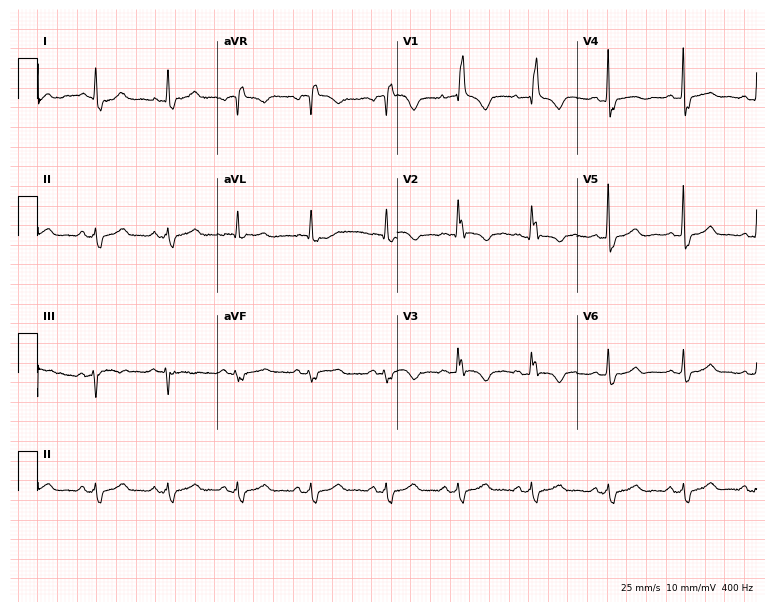
12-lead ECG from a woman, 85 years old. Findings include right bundle branch block.